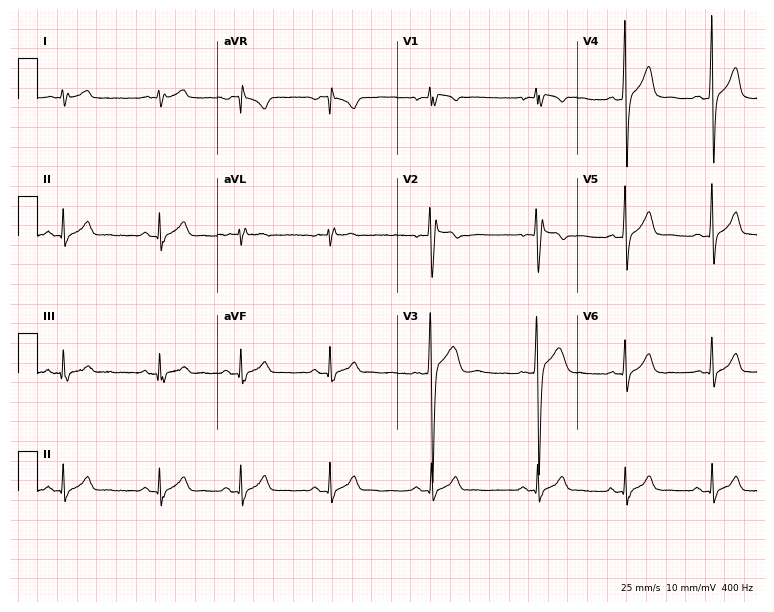
Electrocardiogram (7.3-second recording at 400 Hz), a man, 20 years old. Of the six screened findings (first-degree AV block, right bundle branch block (RBBB), left bundle branch block (LBBB), sinus bradycardia, atrial fibrillation (AF), sinus tachycardia), none is recorded. Other findings, if any, are not listed.